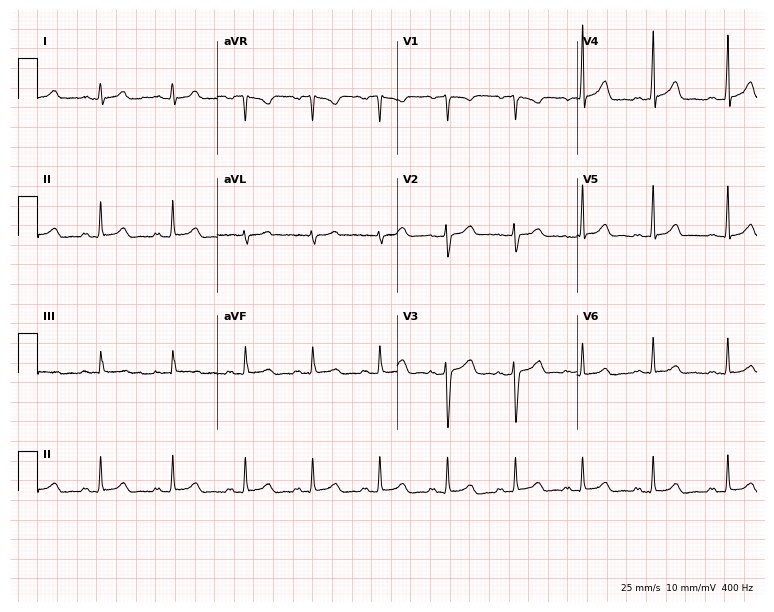
12-lead ECG from a 19-year-old female. Labelled as a normal ECG.